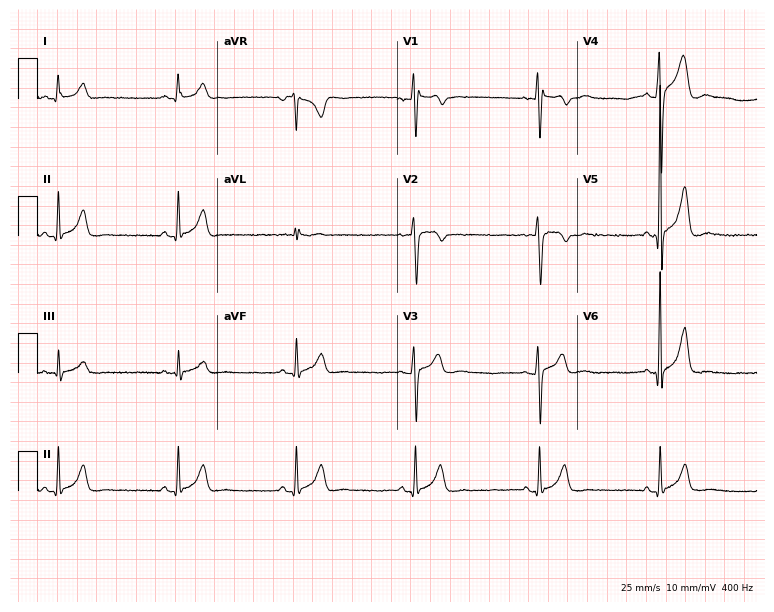
12-lead ECG from a male patient, 22 years old. Labelled as a normal ECG.